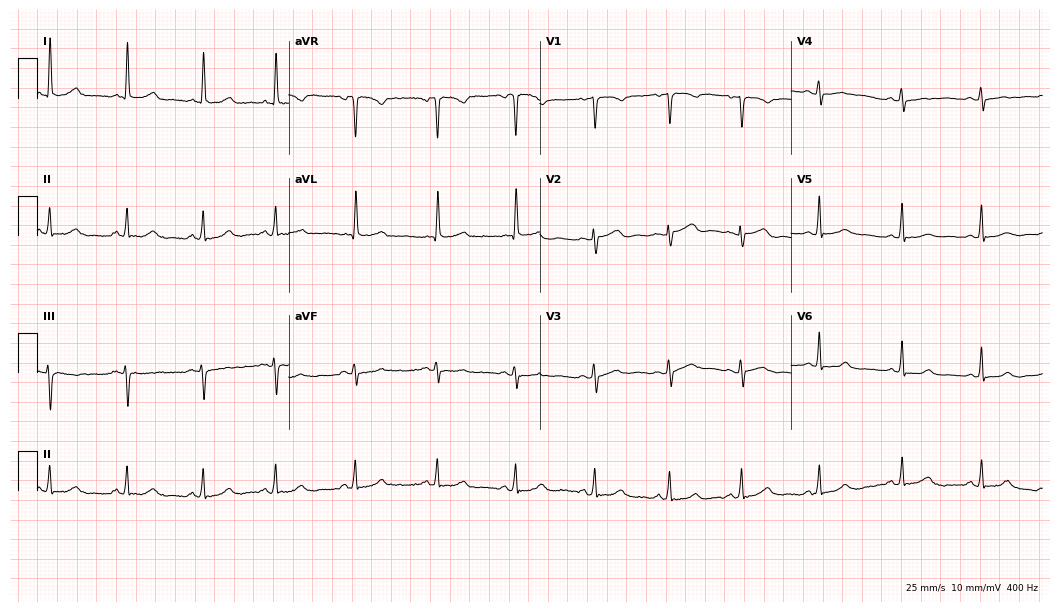
12-lead ECG from a woman, 69 years old (10.2-second recording at 400 Hz). Recorded interpretation: within normal limits.